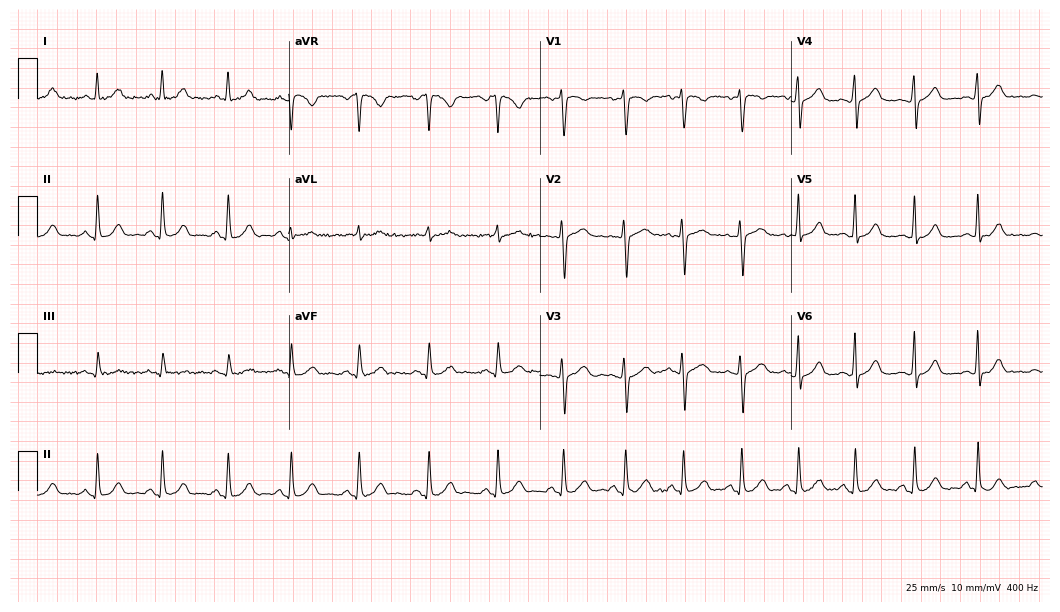
Electrocardiogram, a female, 32 years old. Of the six screened findings (first-degree AV block, right bundle branch block (RBBB), left bundle branch block (LBBB), sinus bradycardia, atrial fibrillation (AF), sinus tachycardia), none is recorded.